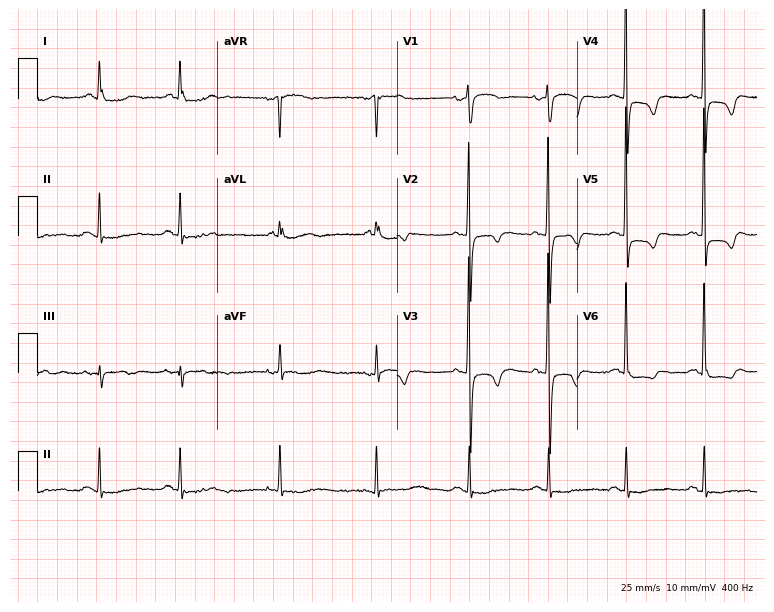
ECG (7.3-second recording at 400 Hz) — a 72-year-old woman. Screened for six findings — first-degree AV block, right bundle branch block, left bundle branch block, sinus bradycardia, atrial fibrillation, sinus tachycardia — none is recorded.